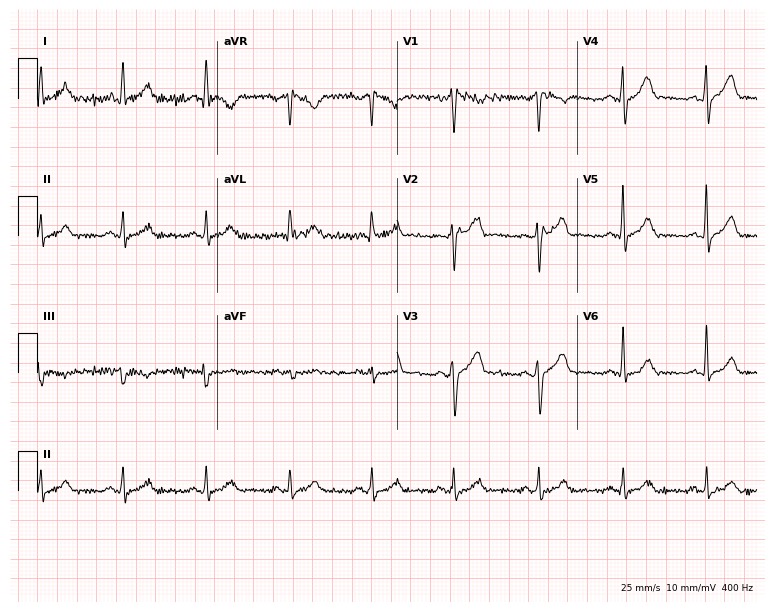
ECG (7.3-second recording at 400 Hz) — a 39-year-old man. Labelled as a normal ECG.